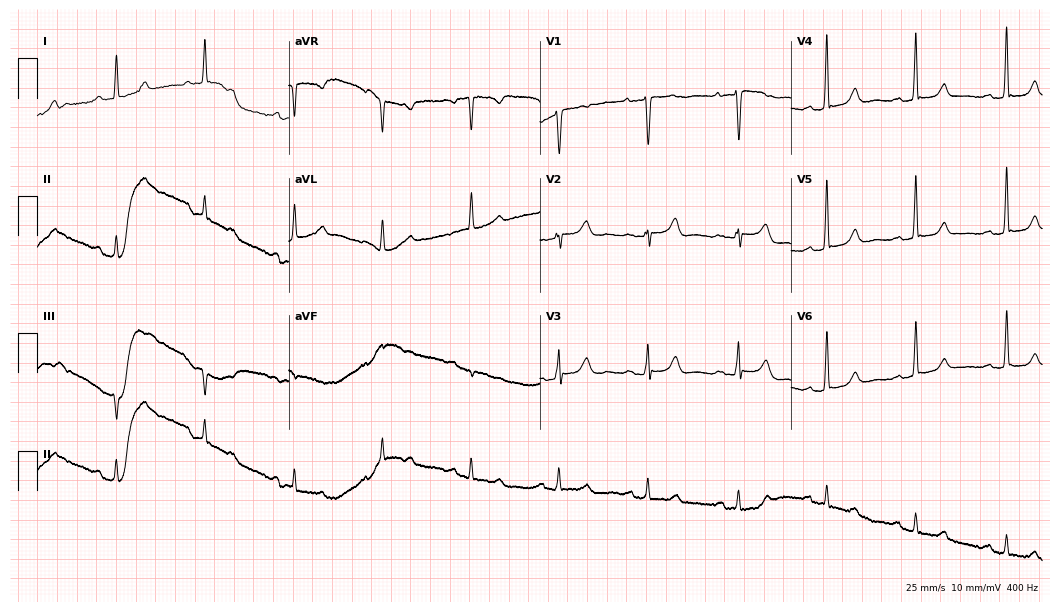
12-lead ECG (10.2-second recording at 400 Hz) from an 80-year-old woman. Labelled as a normal ECG.